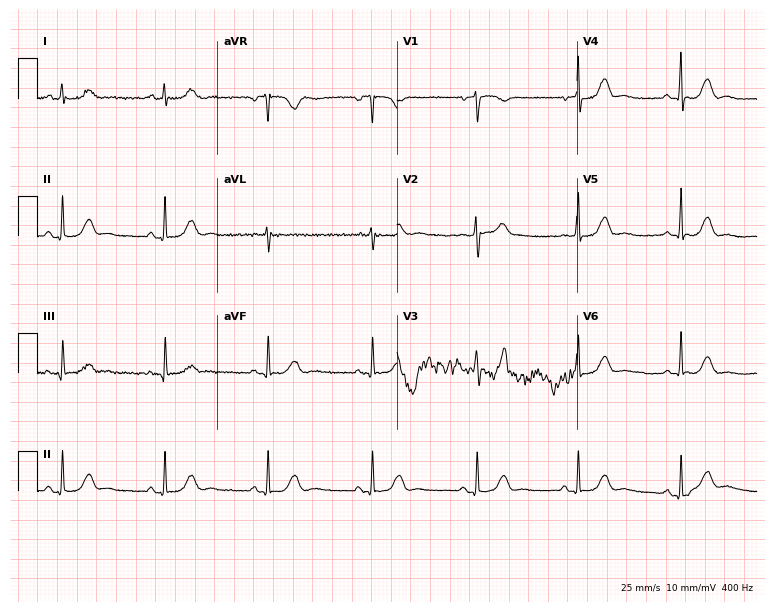
12-lead ECG (7.3-second recording at 400 Hz) from a female patient, 59 years old. Labelled as a normal ECG.